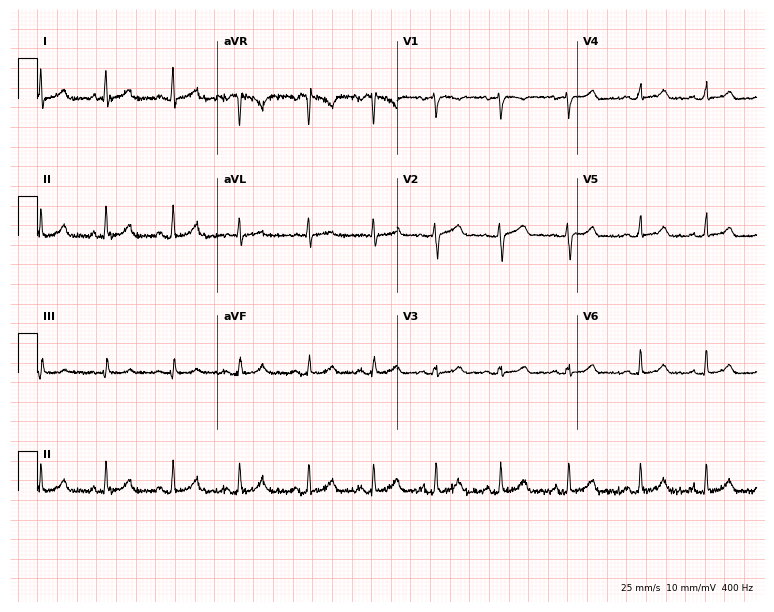
Electrocardiogram, a 22-year-old female patient. Overall reading on record: normal ECG.